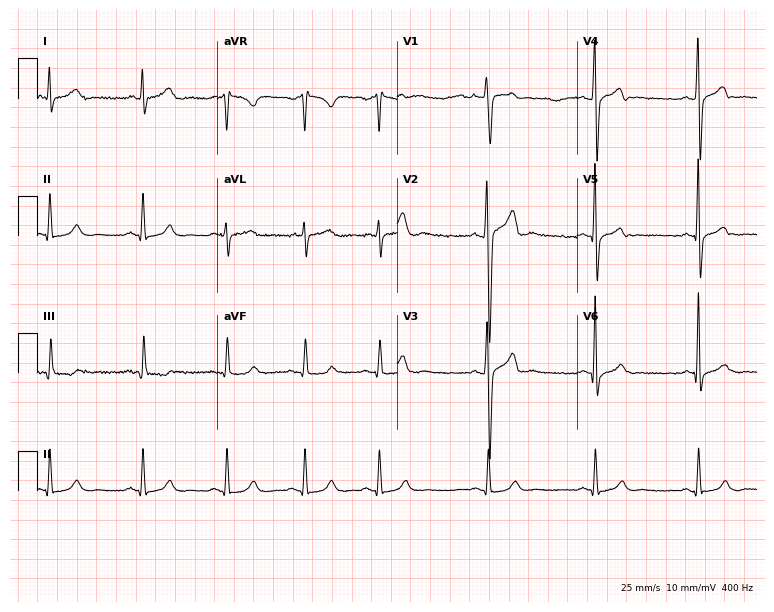
Resting 12-lead electrocardiogram. Patient: a male, 23 years old. None of these six findings is recorded: first-degree AV block, right bundle branch block, left bundle branch block, sinus bradycardia, atrial fibrillation, sinus tachycardia.